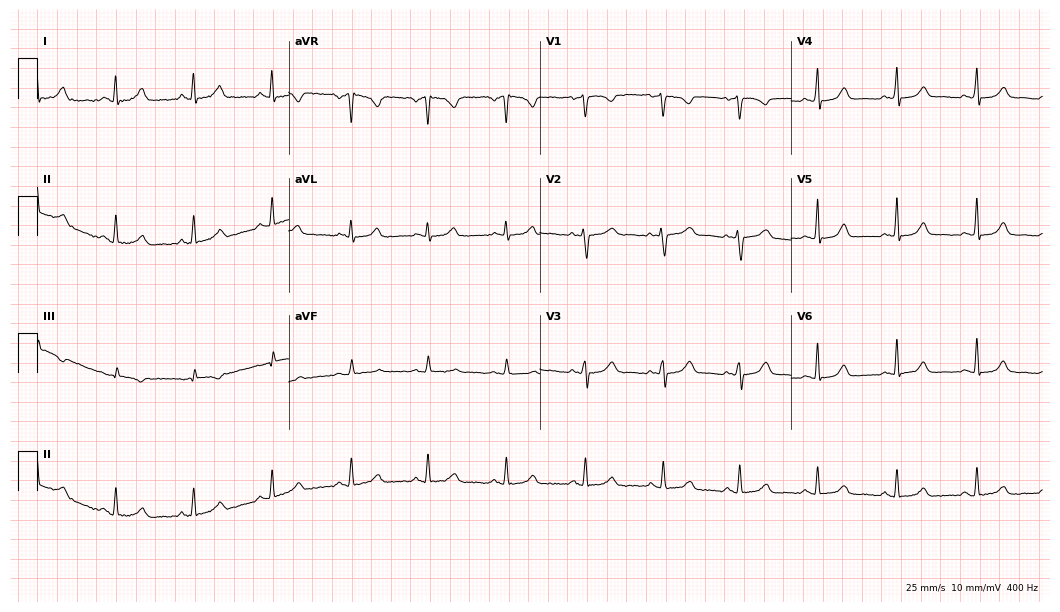
Electrocardiogram (10.2-second recording at 400 Hz), a 48-year-old female. Overall reading on record: normal ECG.